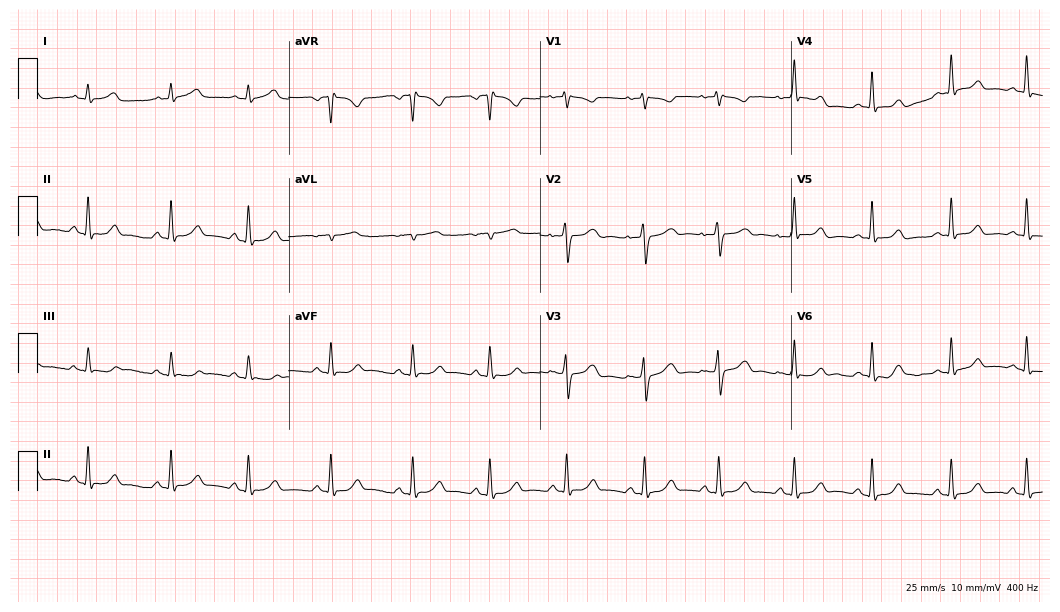
Electrocardiogram, a woman, 28 years old. Overall reading on record: normal ECG.